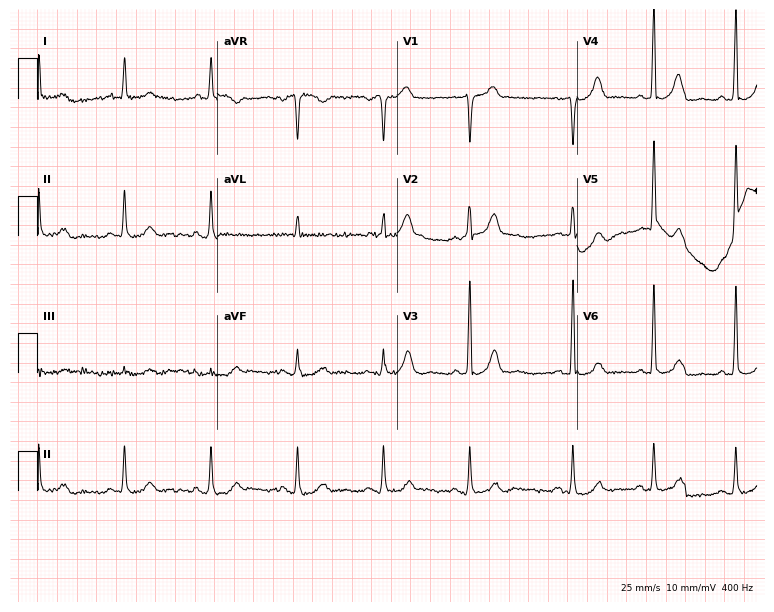
Resting 12-lead electrocardiogram. Patient: a woman, 72 years old. None of these six findings is recorded: first-degree AV block, right bundle branch block (RBBB), left bundle branch block (LBBB), sinus bradycardia, atrial fibrillation (AF), sinus tachycardia.